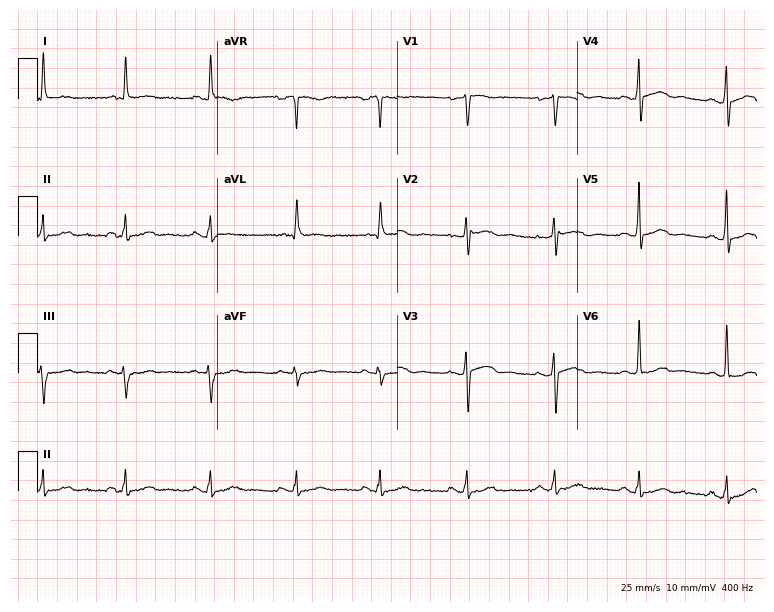
Resting 12-lead electrocardiogram (7.3-second recording at 400 Hz). Patient: a 50-year-old woman. Read as a normal ECG.